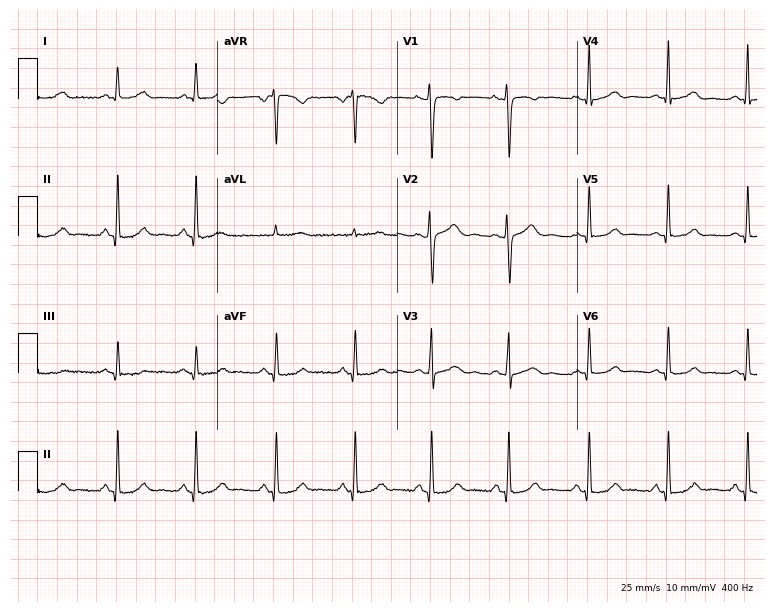
ECG — a woman, 83 years old. Labelled as a normal ECG.